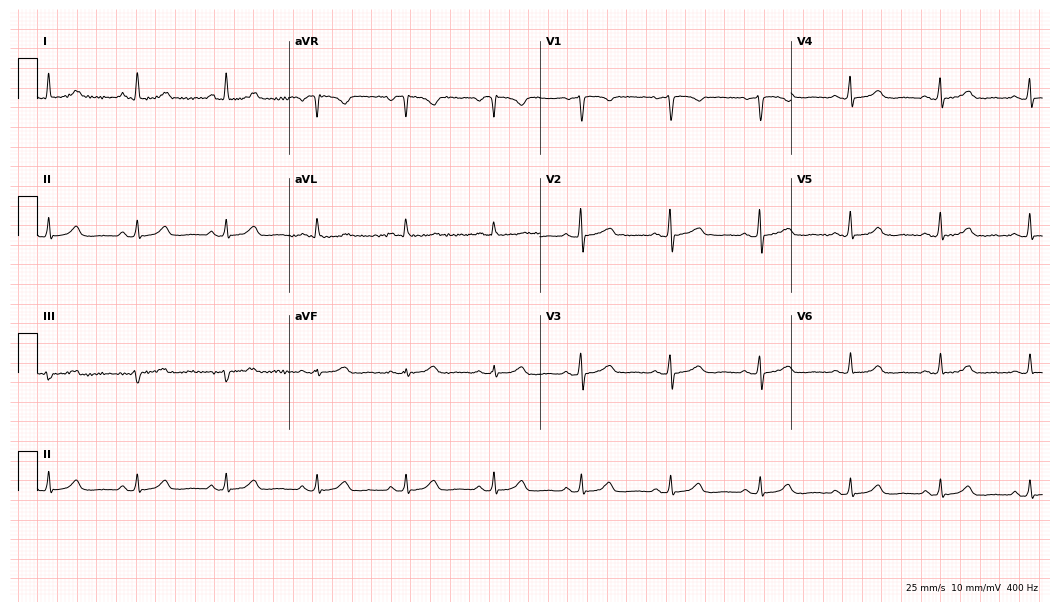
12-lead ECG (10.2-second recording at 400 Hz) from a 53-year-old female patient. Screened for six findings — first-degree AV block, right bundle branch block (RBBB), left bundle branch block (LBBB), sinus bradycardia, atrial fibrillation (AF), sinus tachycardia — none is recorded.